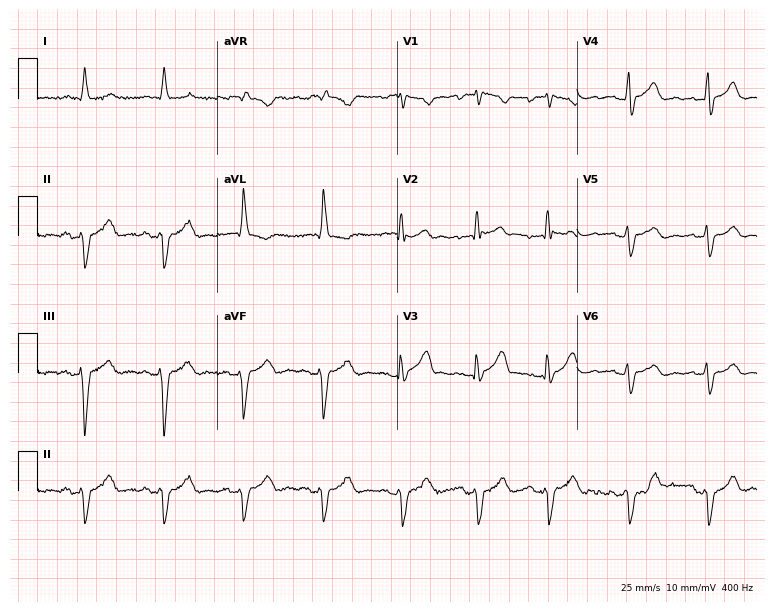
12-lead ECG from a woman, 76 years old. Findings include right bundle branch block.